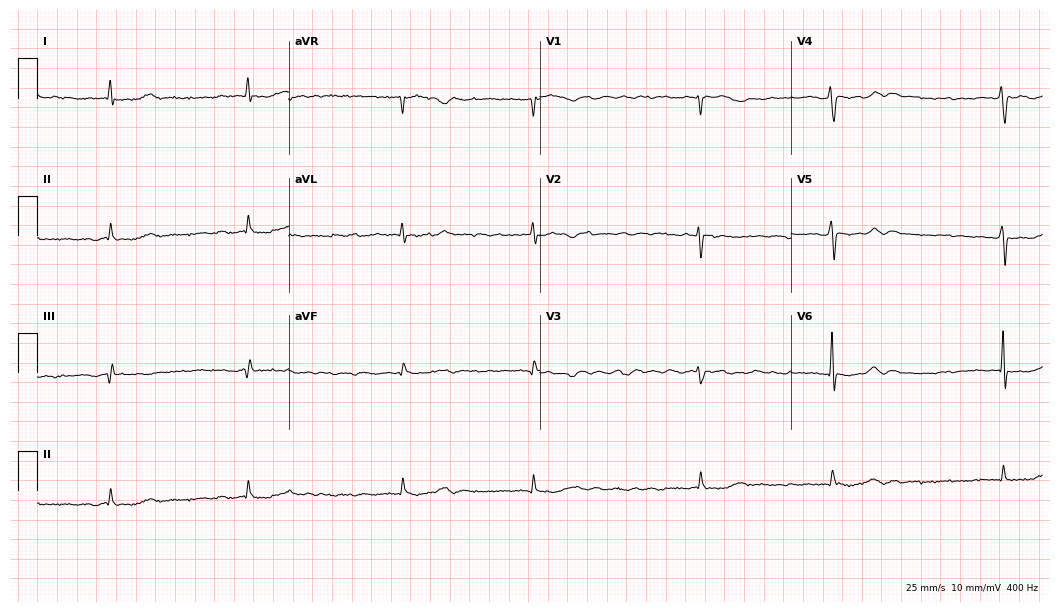
12-lead ECG (10.2-second recording at 400 Hz) from a woman, 58 years old. Findings include atrial fibrillation.